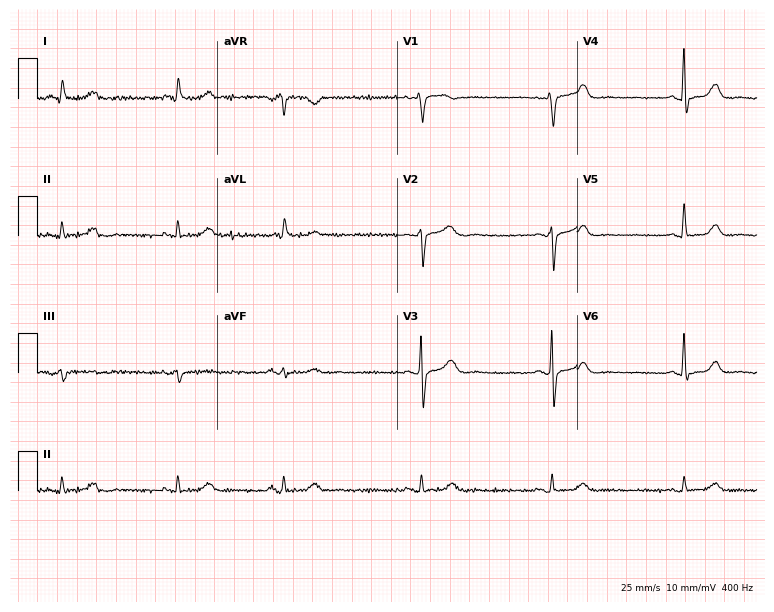
12-lead ECG from a woman, 68 years old. Findings include sinus bradycardia (a sinus rate of 50 beats per minute or less).